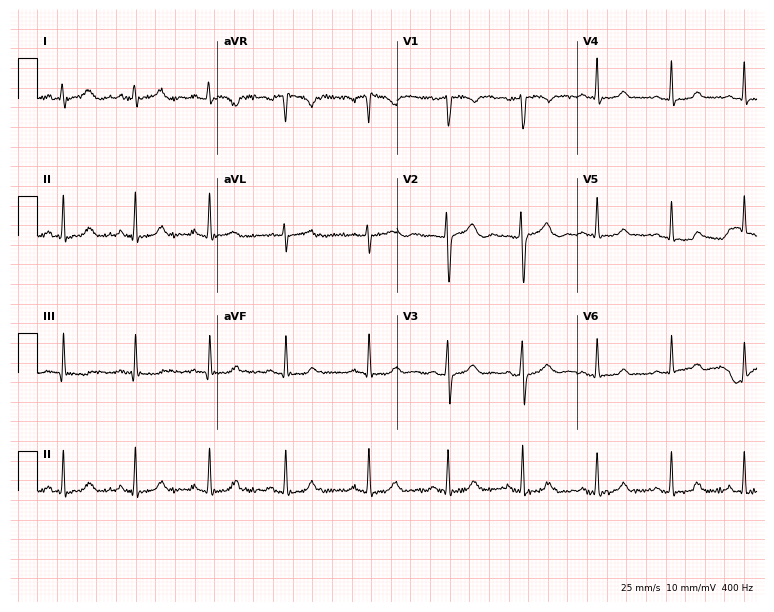
Electrocardiogram, a 31-year-old woman. Overall reading on record: normal ECG.